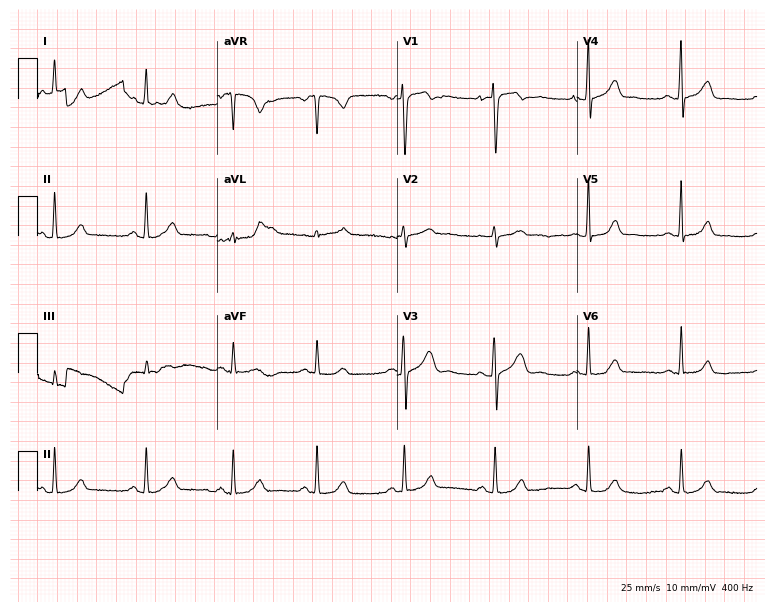
Standard 12-lead ECG recorded from a 24-year-old female patient. Read as a normal ECG.